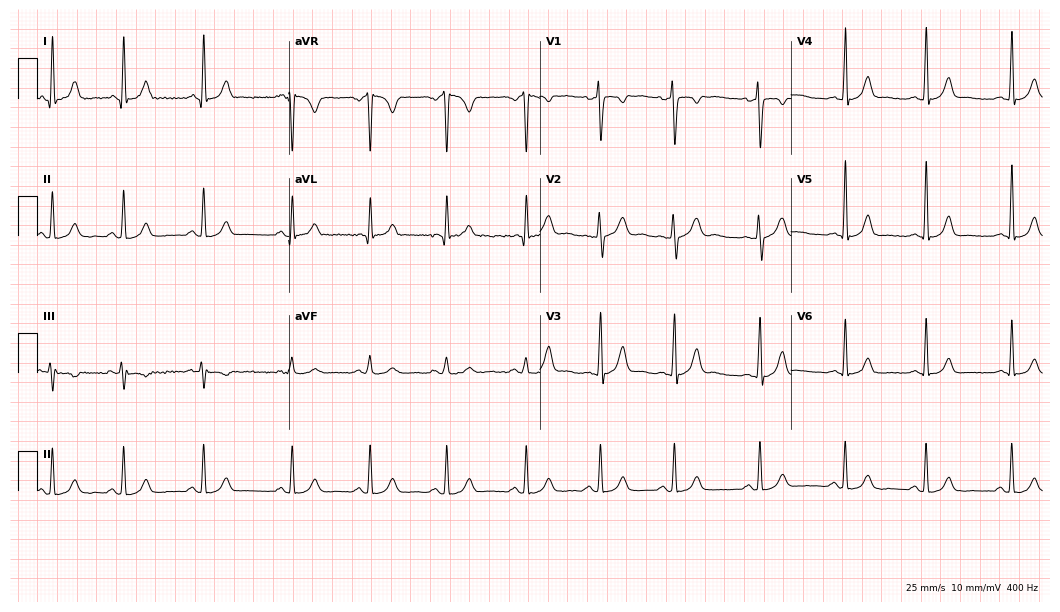
Resting 12-lead electrocardiogram (10.2-second recording at 400 Hz). Patient: a female, 26 years old. Read as a normal ECG.